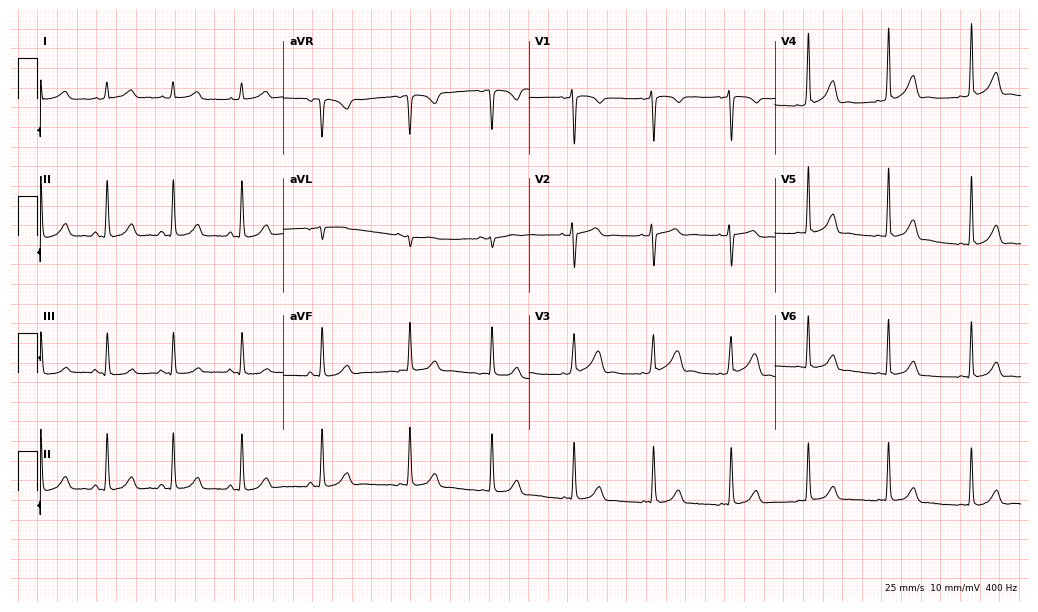
12-lead ECG from a female patient, 26 years old. Labelled as a normal ECG.